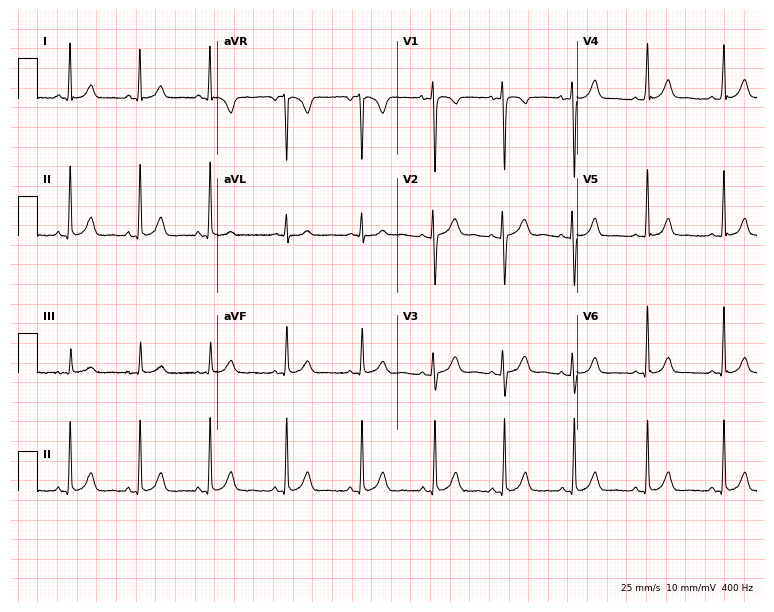
ECG (7.3-second recording at 400 Hz) — a female patient, 22 years old. Labelled as a normal ECG.